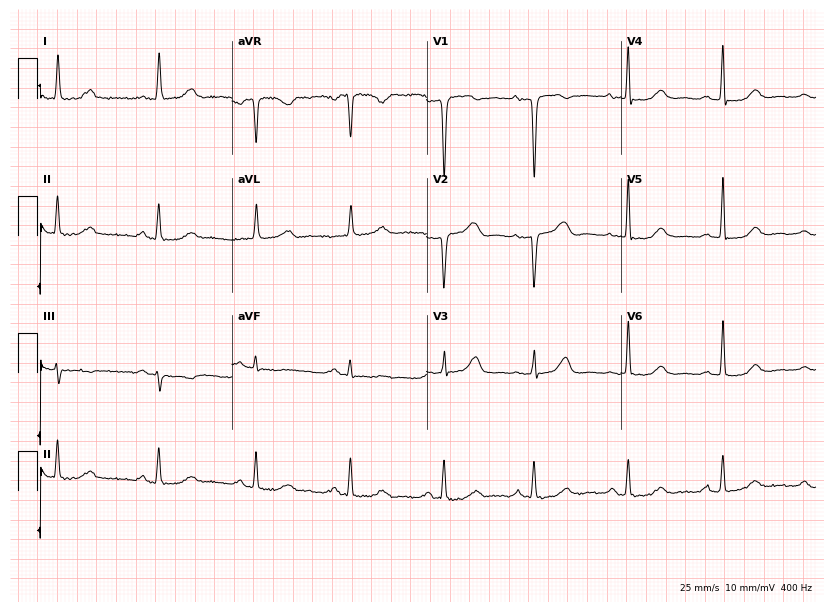
ECG (7.9-second recording at 400 Hz) — a woman, 64 years old. Screened for six findings — first-degree AV block, right bundle branch block, left bundle branch block, sinus bradycardia, atrial fibrillation, sinus tachycardia — none is recorded. Findings outside these six are not listed.